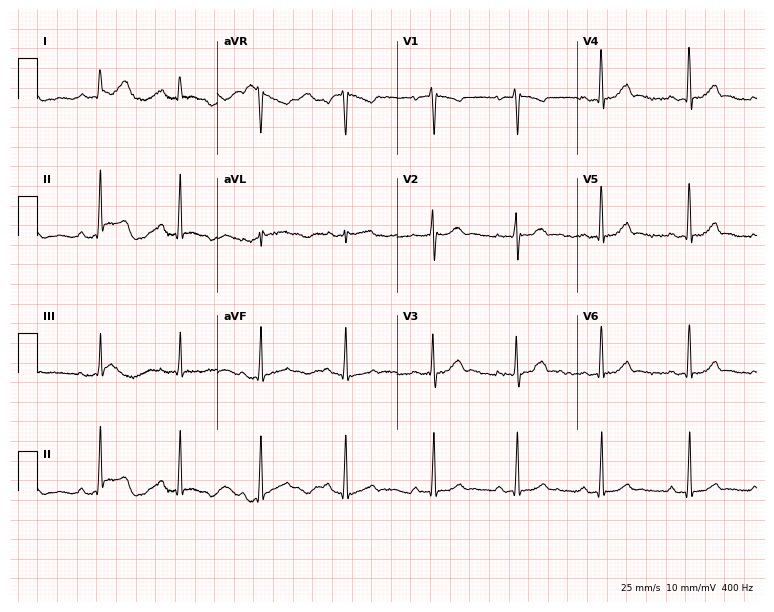
12-lead ECG from a 24-year-old female patient (7.3-second recording at 400 Hz). No first-degree AV block, right bundle branch block (RBBB), left bundle branch block (LBBB), sinus bradycardia, atrial fibrillation (AF) or sinus tachycardia recorded for this tracing. Findings outside these six are not listed.